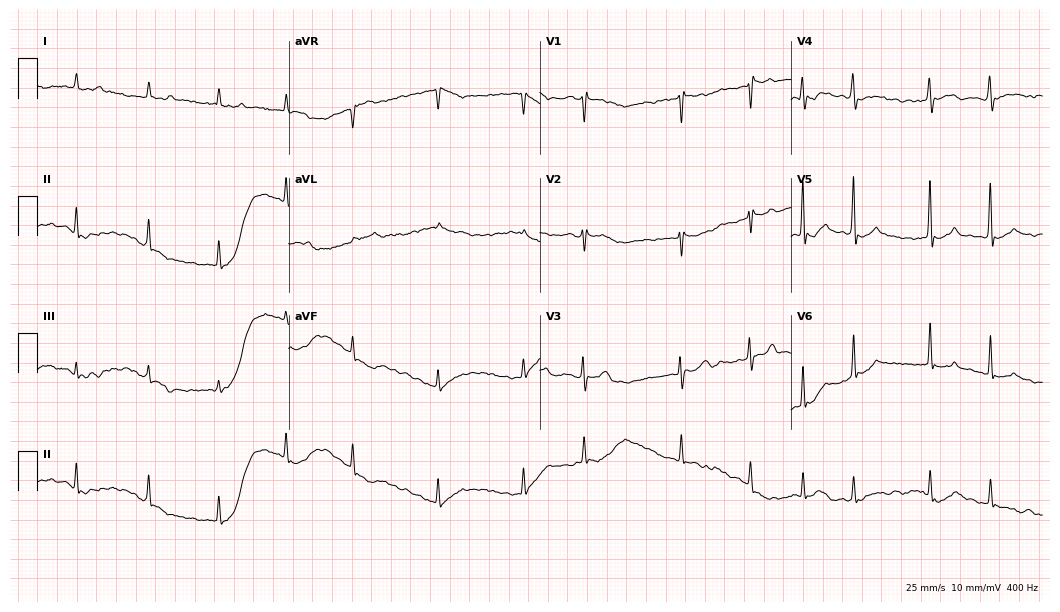
Electrocardiogram (10.2-second recording at 400 Hz), a 72-year-old woman. Interpretation includes atrial fibrillation.